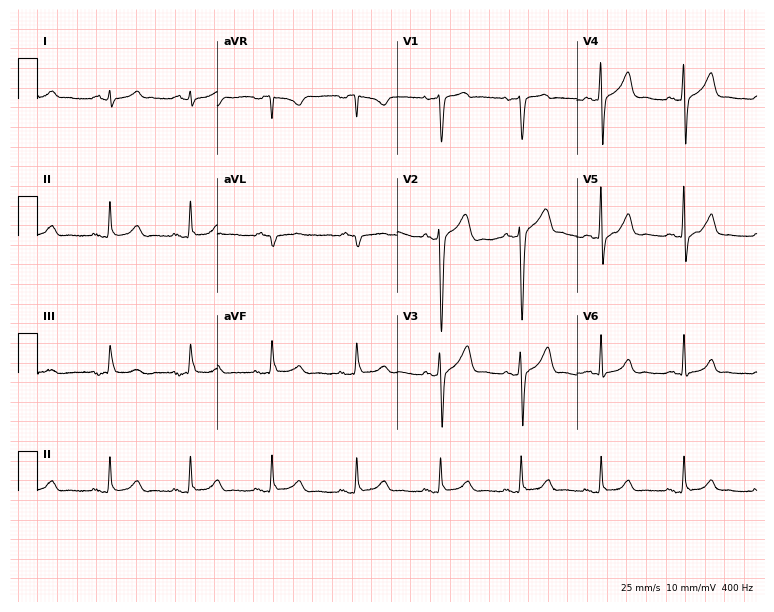
12-lead ECG from a male, 45 years old (7.3-second recording at 400 Hz). No first-degree AV block, right bundle branch block, left bundle branch block, sinus bradycardia, atrial fibrillation or sinus tachycardia recorded for this tracing. Findings outside these six are not listed.